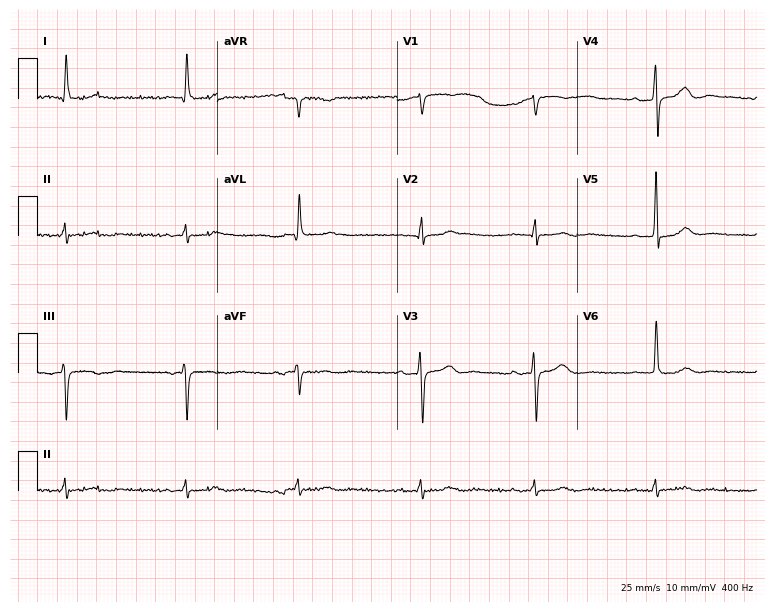
ECG — a 78-year-old male. Screened for six findings — first-degree AV block, right bundle branch block, left bundle branch block, sinus bradycardia, atrial fibrillation, sinus tachycardia — none is recorded. Findings outside these six are not listed.